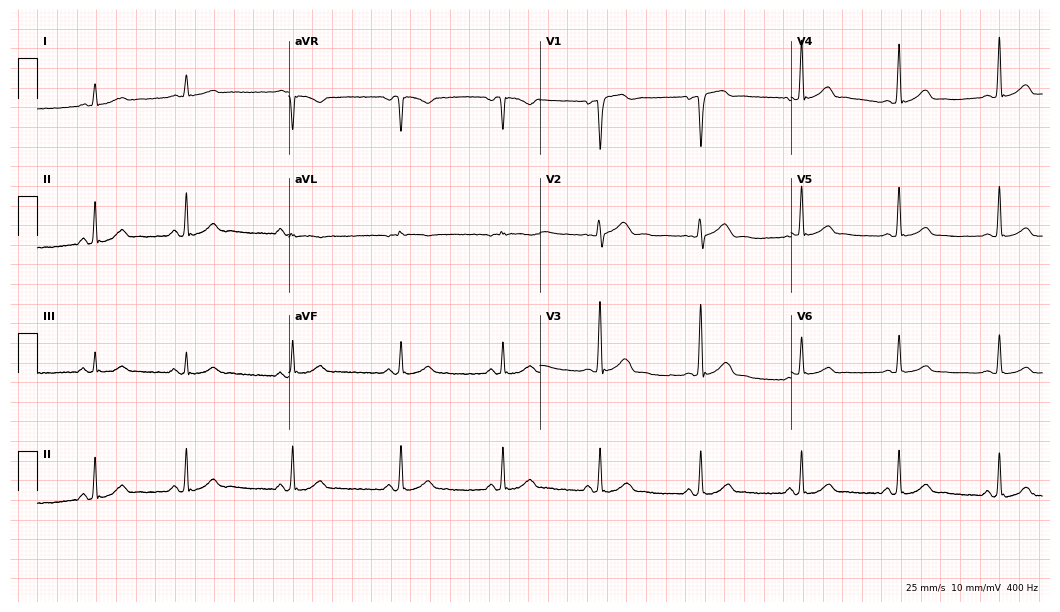
Resting 12-lead electrocardiogram (10.2-second recording at 400 Hz). Patient: a 37-year-old female. Read as a normal ECG.